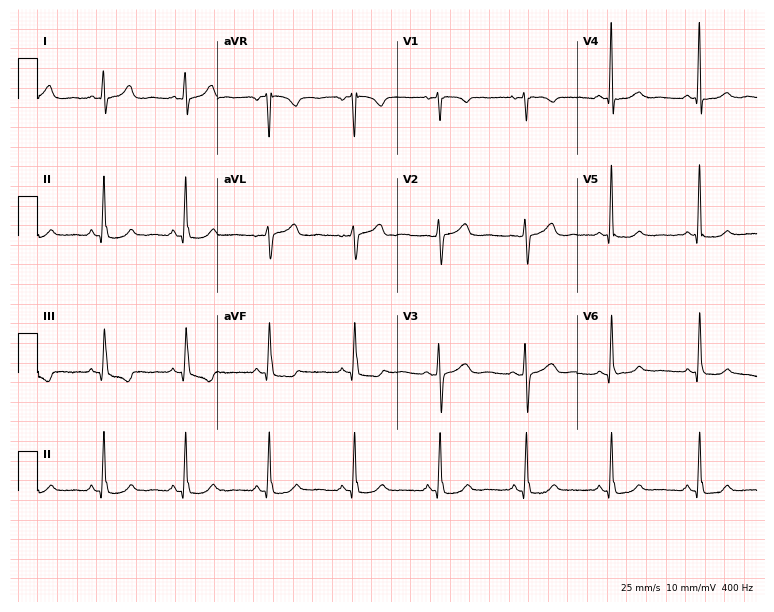
12-lead ECG (7.3-second recording at 400 Hz) from a female, 54 years old. Screened for six findings — first-degree AV block, right bundle branch block, left bundle branch block, sinus bradycardia, atrial fibrillation, sinus tachycardia — none is recorded. Other findings, if any, are not listed.